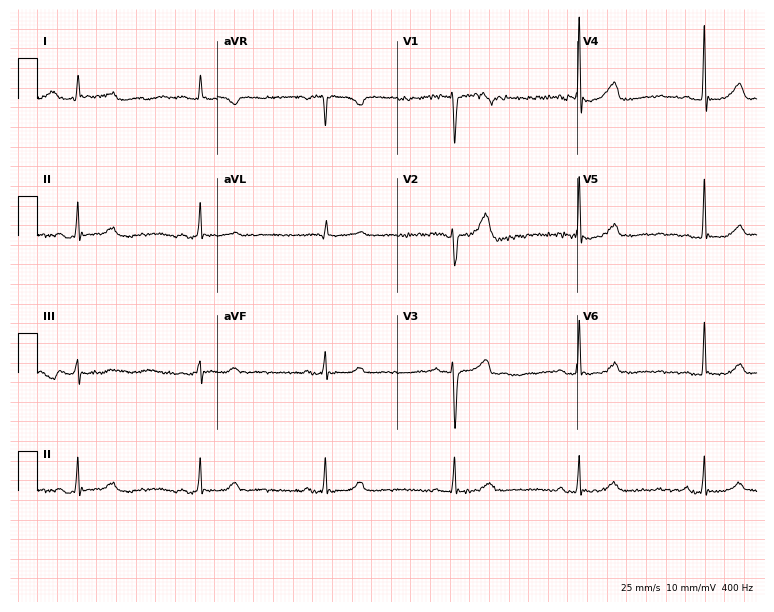
Resting 12-lead electrocardiogram. Patient: an 84-year-old male. The tracing shows sinus bradycardia (a sinus rate of 50 beats per minute or less).